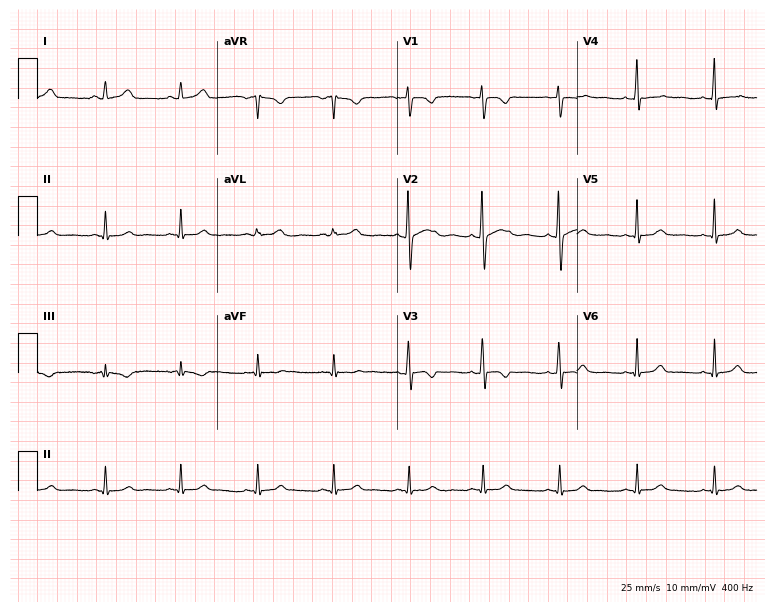
Standard 12-lead ECG recorded from a 22-year-old woman. Read as a normal ECG.